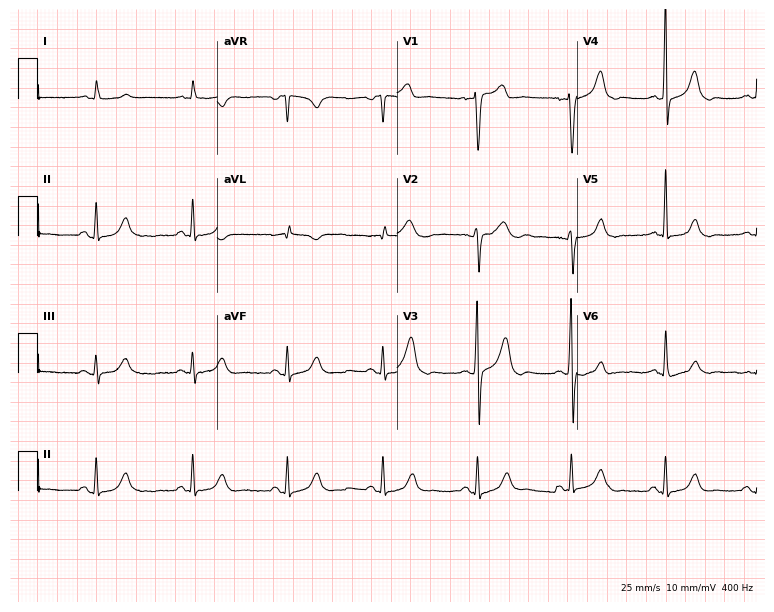
Resting 12-lead electrocardiogram. Patient: a male, 68 years old. Read as a normal ECG.